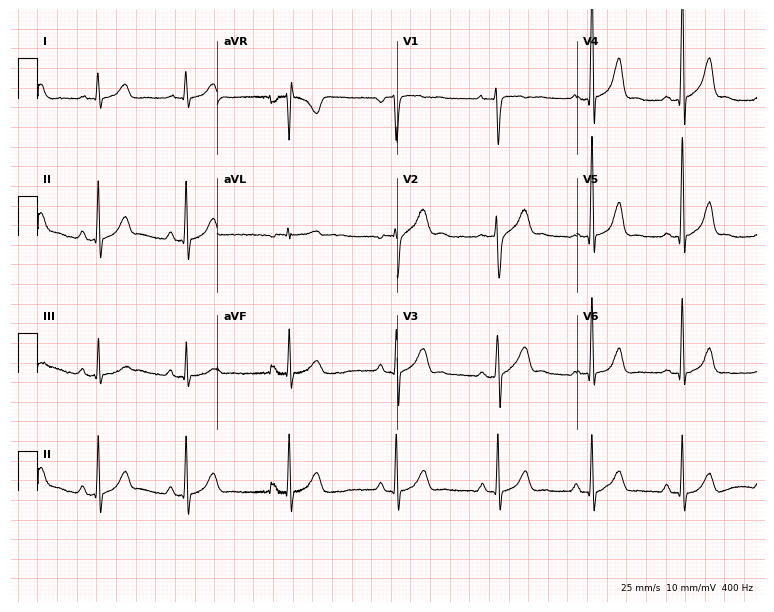
Electrocardiogram (7.3-second recording at 400 Hz), a male patient, 23 years old. Of the six screened findings (first-degree AV block, right bundle branch block, left bundle branch block, sinus bradycardia, atrial fibrillation, sinus tachycardia), none is recorded. Only these six findings were labelled.